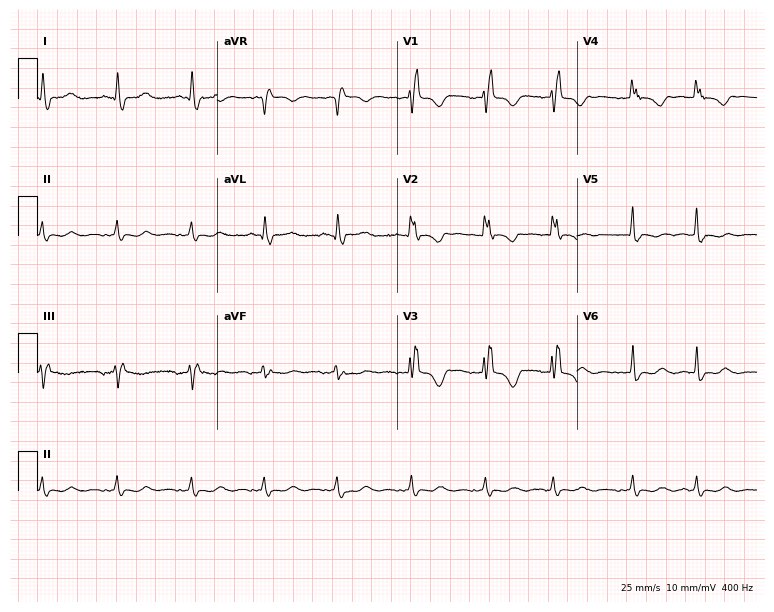
12-lead ECG from a female patient, 47 years old (7.3-second recording at 400 Hz). Shows right bundle branch block (RBBB).